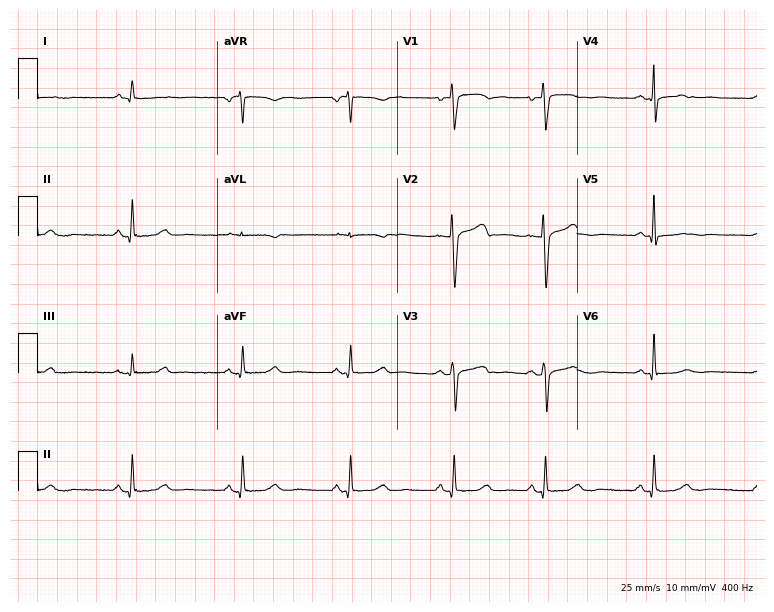
Standard 12-lead ECG recorded from a female patient, 40 years old (7.3-second recording at 400 Hz). None of these six findings is recorded: first-degree AV block, right bundle branch block, left bundle branch block, sinus bradycardia, atrial fibrillation, sinus tachycardia.